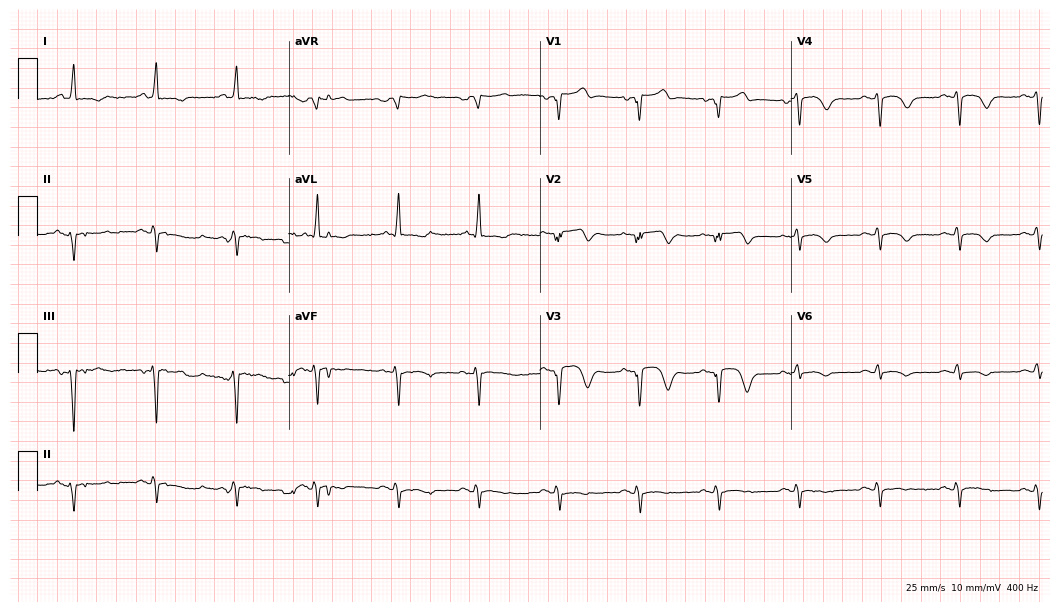
Resting 12-lead electrocardiogram. Patient: a 66-year-old male. Read as a normal ECG.